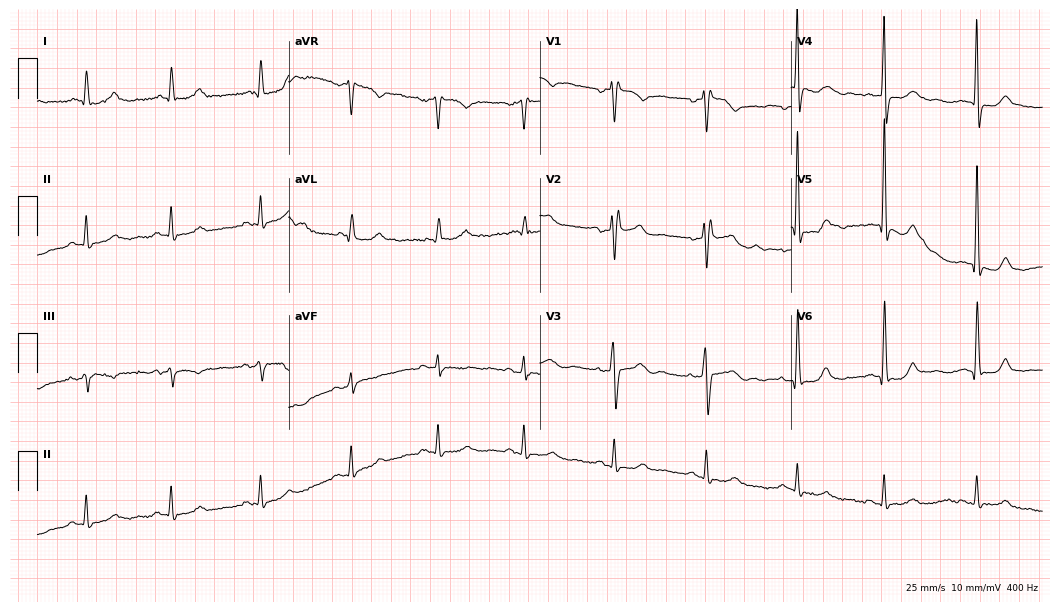
12-lead ECG from a male, 76 years old. Screened for six findings — first-degree AV block, right bundle branch block, left bundle branch block, sinus bradycardia, atrial fibrillation, sinus tachycardia — none is recorded.